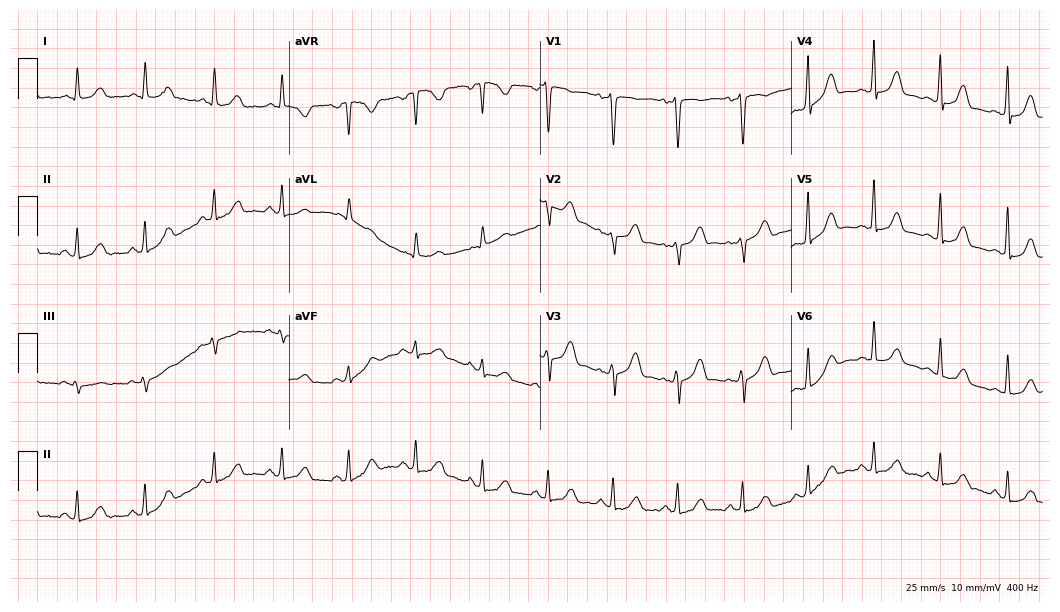
Resting 12-lead electrocardiogram. Patient: a female, 41 years old. None of these six findings is recorded: first-degree AV block, right bundle branch block, left bundle branch block, sinus bradycardia, atrial fibrillation, sinus tachycardia.